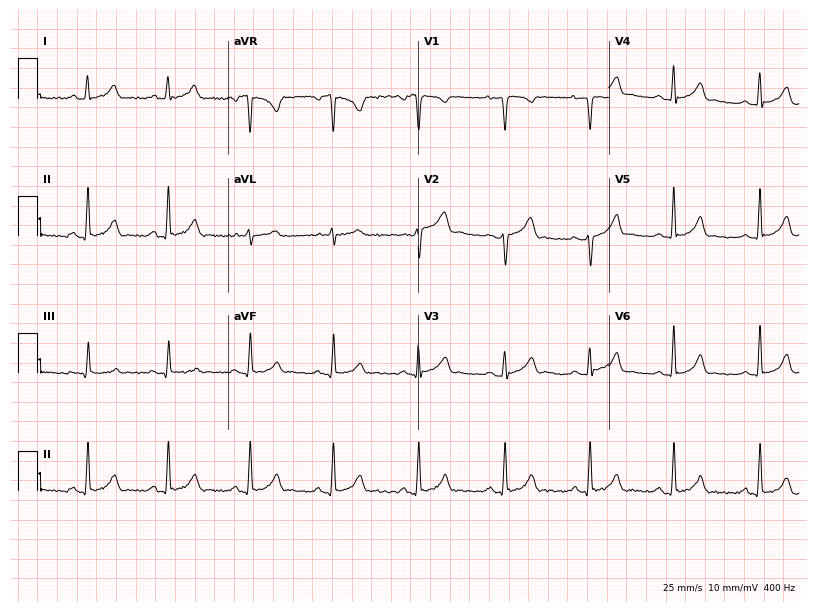
ECG — a 27-year-old female. Labelled as a normal ECG.